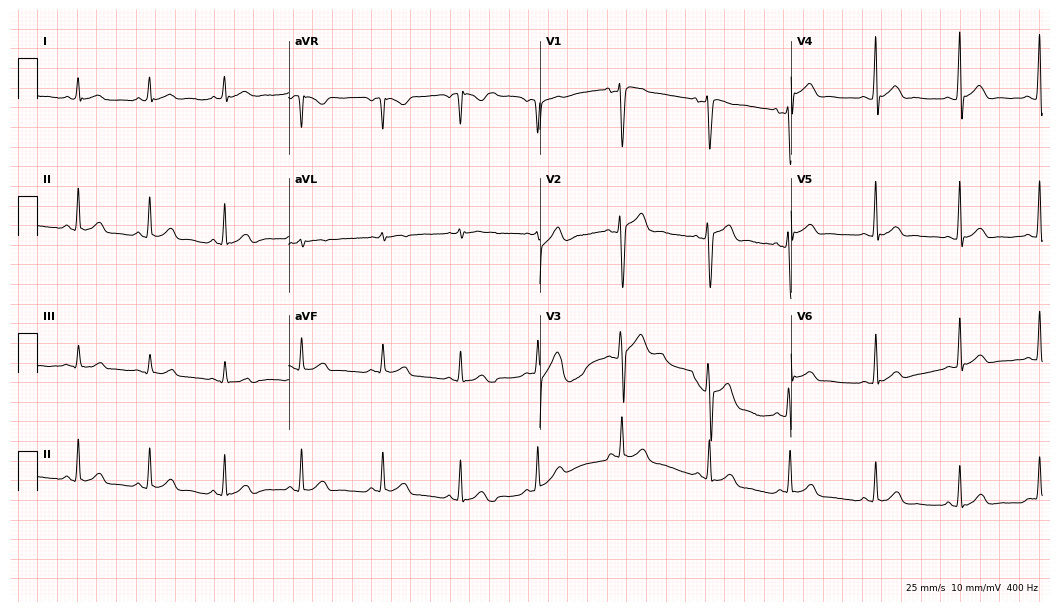
Electrocardiogram, a 19-year-old man. Overall reading on record: normal ECG.